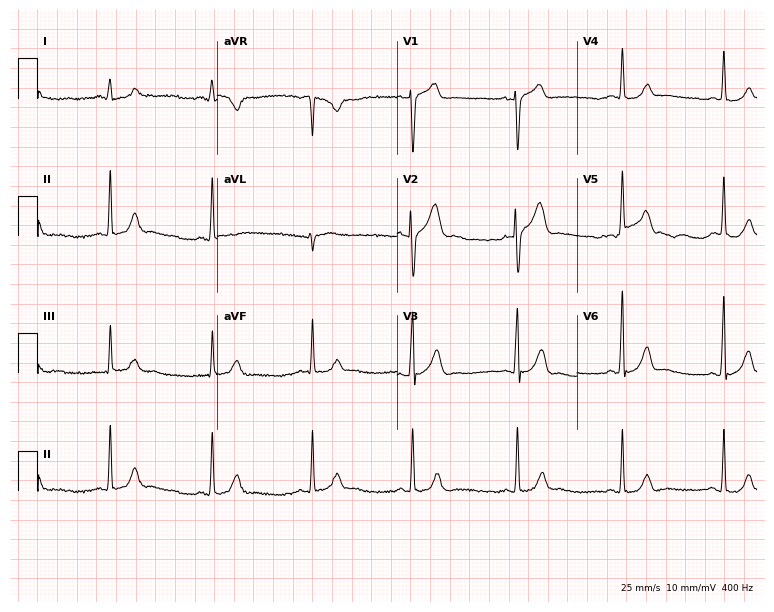
Standard 12-lead ECG recorded from a male patient, 34 years old (7.3-second recording at 400 Hz). Read as a normal ECG.